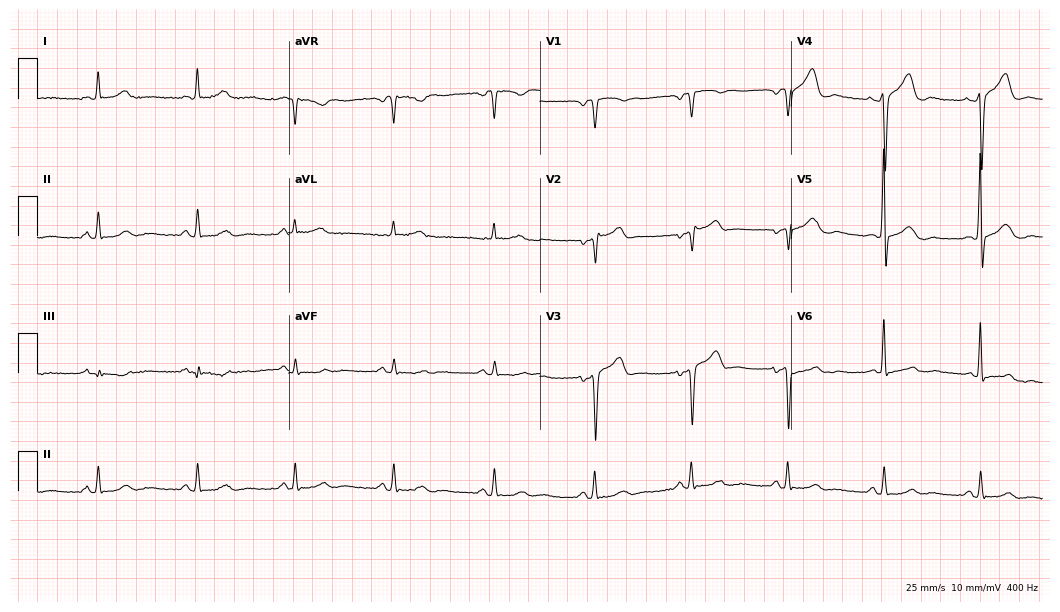
Standard 12-lead ECG recorded from a male patient, 57 years old. None of these six findings is recorded: first-degree AV block, right bundle branch block (RBBB), left bundle branch block (LBBB), sinus bradycardia, atrial fibrillation (AF), sinus tachycardia.